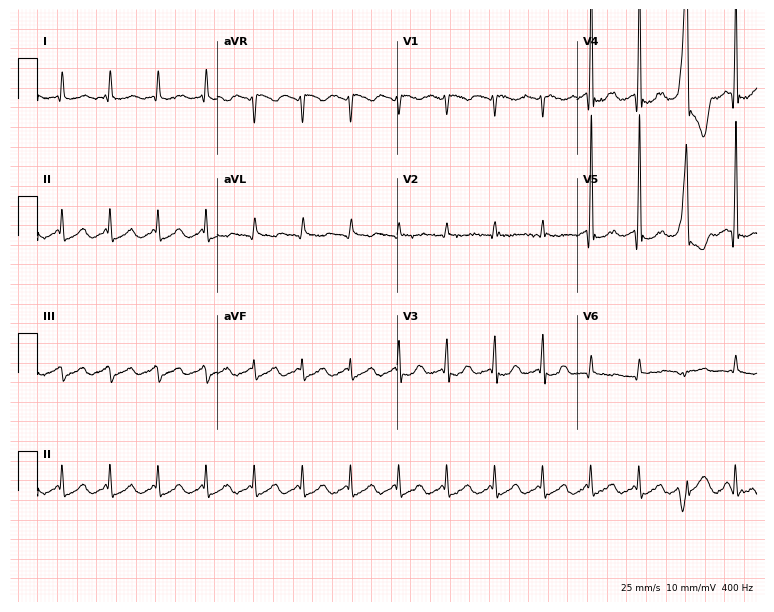
12-lead ECG from a 77-year-old man (7.3-second recording at 400 Hz). No first-degree AV block, right bundle branch block (RBBB), left bundle branch block (LBBB), sinus bradycardia, atrial fibrillation (AF) or sinus tachycardia recorded for this tracing. Findings outside these six are not listed.